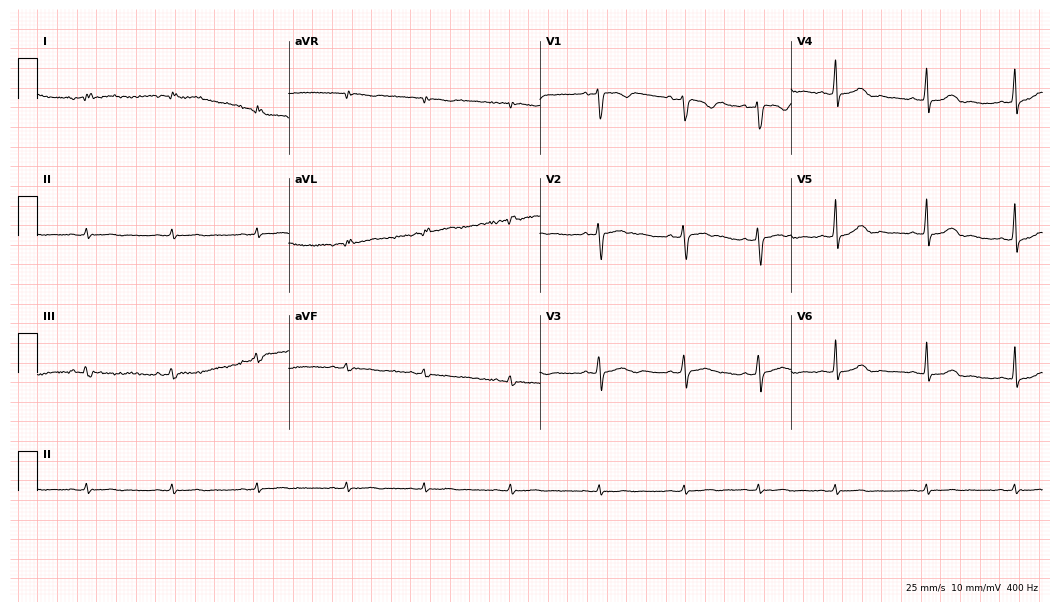
12-lead ECG from a 22-year-old woman. No first-degree AV block, right bundle branch block (RBBB), left bundle branch block (LBBB), sinus bradycardia, atrial fibrillation (AF) or sinus tachycardia recorded for this tracing. Other findings, if any, are not listed.